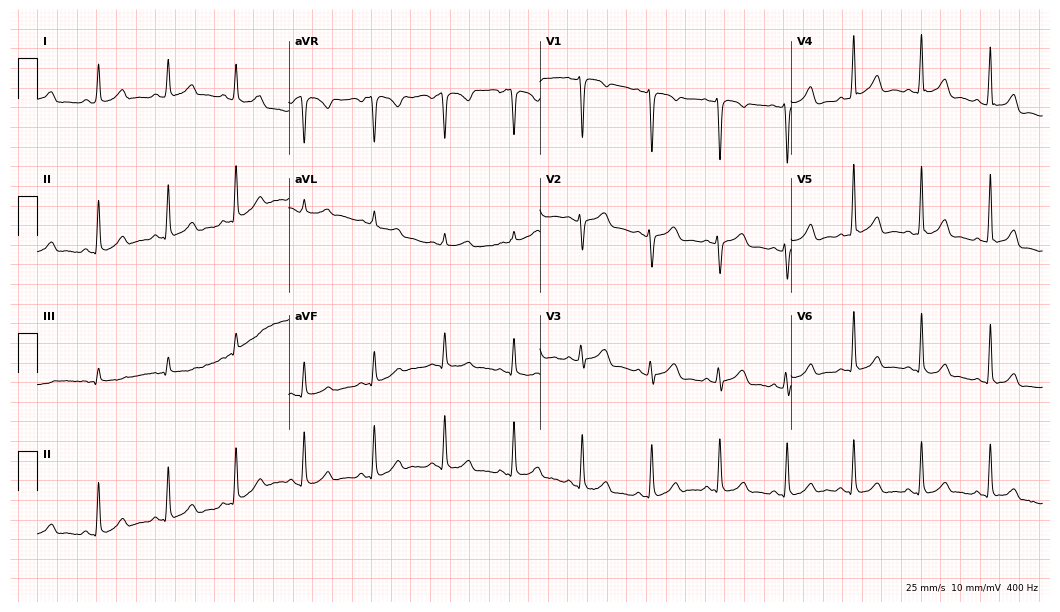
Resting 12-lead electrocardiogram (10.2-second recording at 400 Hz). Patient: a 25-year-old female. Read as a normal ECG.